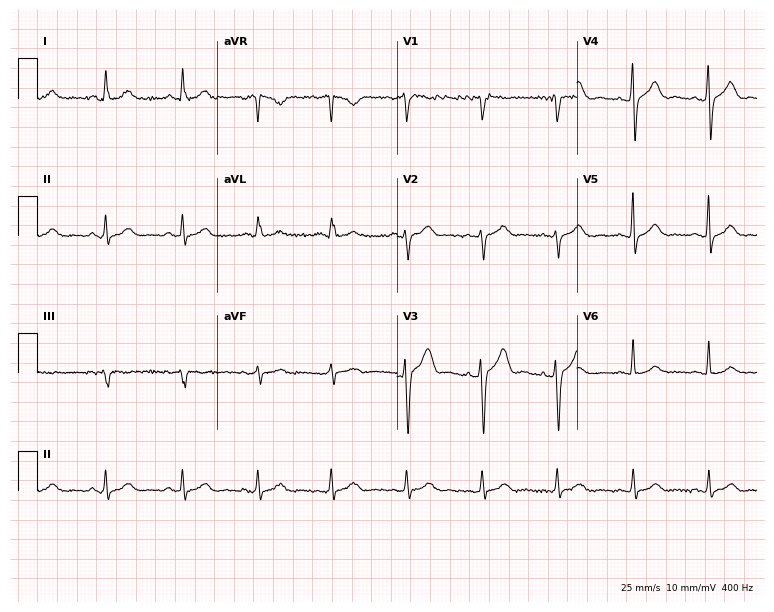
ECG (7.3-second recording at 400 Hz) — a woman, 54 years old. Labelled as a normal ECG.